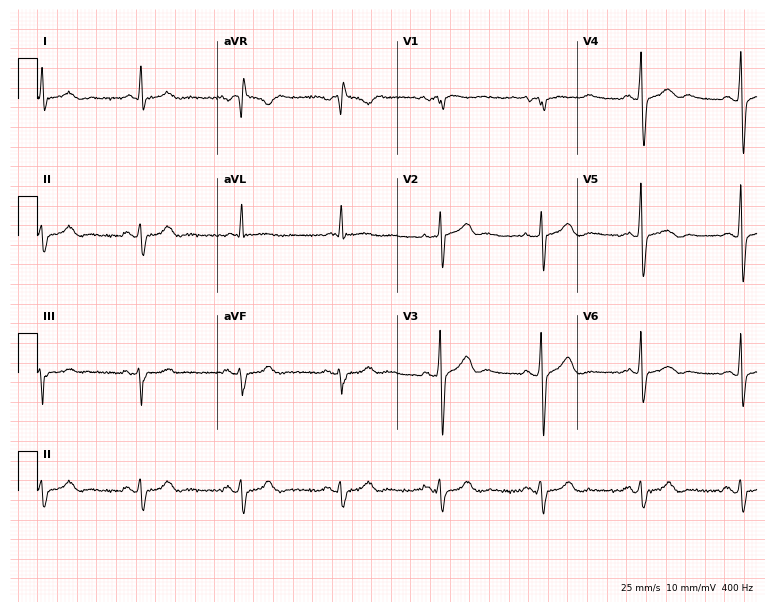
Electrocardiogram (7.3-second recording at 400 Hz), an 83-year-old male patient. Overall reading on record: normal ECG.